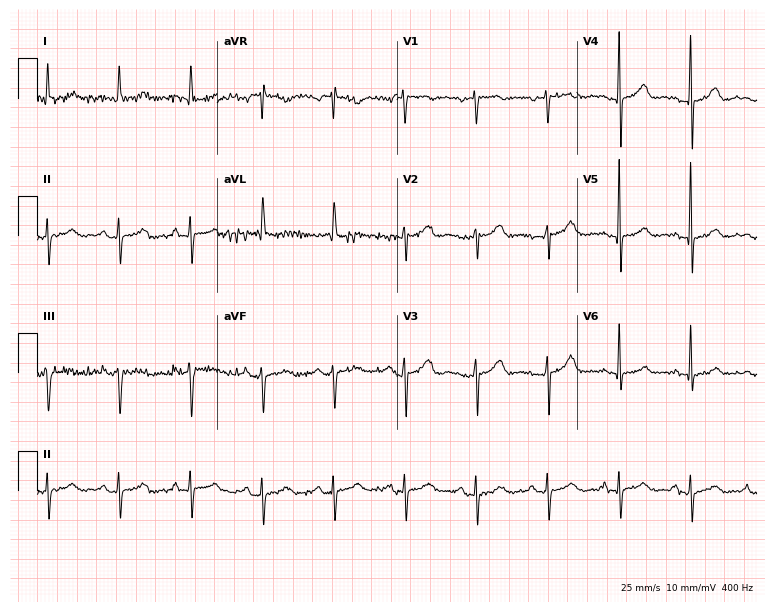
Electrocardiogram, a female patient, 75 years old. Of the six screened findings (first-degree AV block, right bundle branch block (RBBB), left bundle branch block (LBBB), sinus bradycardia, atrial fibrillation (AF), sinus tachycardia), none is recorded. Findings outside these six are not listed.